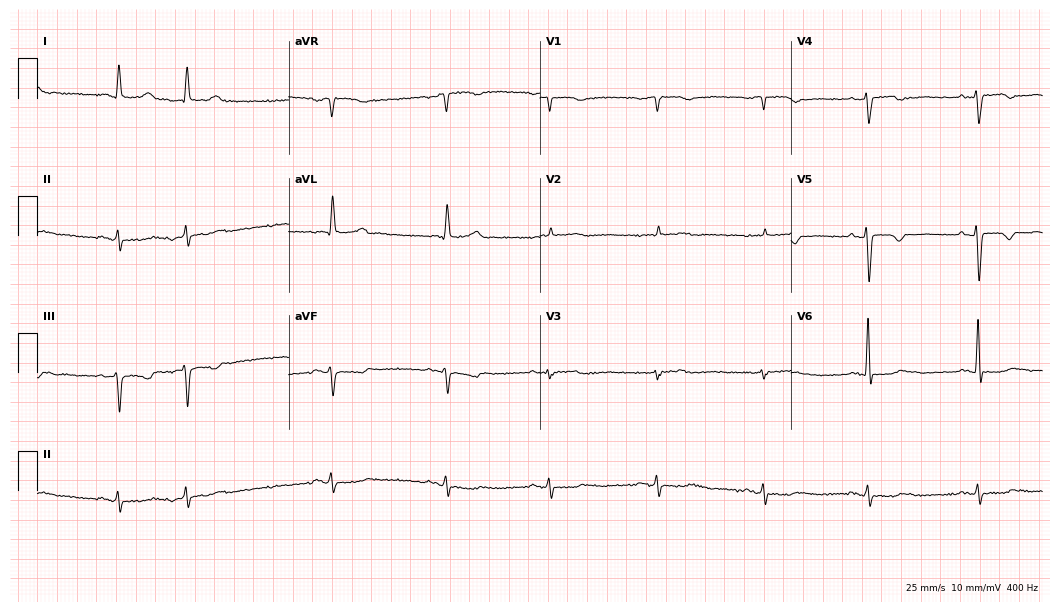
ECG — a female patient, 66 years old. Screened for six findings — first-degree AV block, right bundle branch block, left bundle branch block, sinus bradycardia, atrial fibrillation, sinus tachycardia — none is recorded.